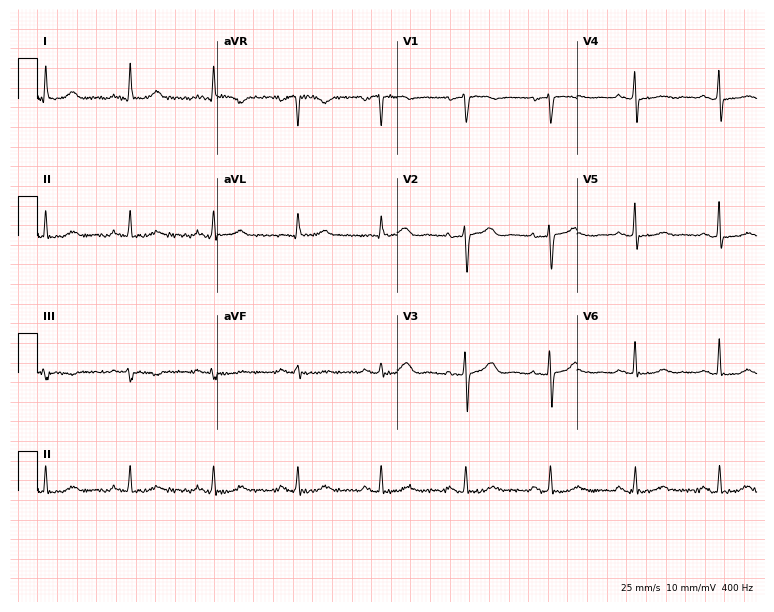
Resting 12-lead electrocardiogram. Patient: a female, 79 years old. None of these six findings is recorded: first-degree AV block, right bundle branch block, left bundle branch block, sinus bradycardia, atrial fibrillation, sinus tachycardia.